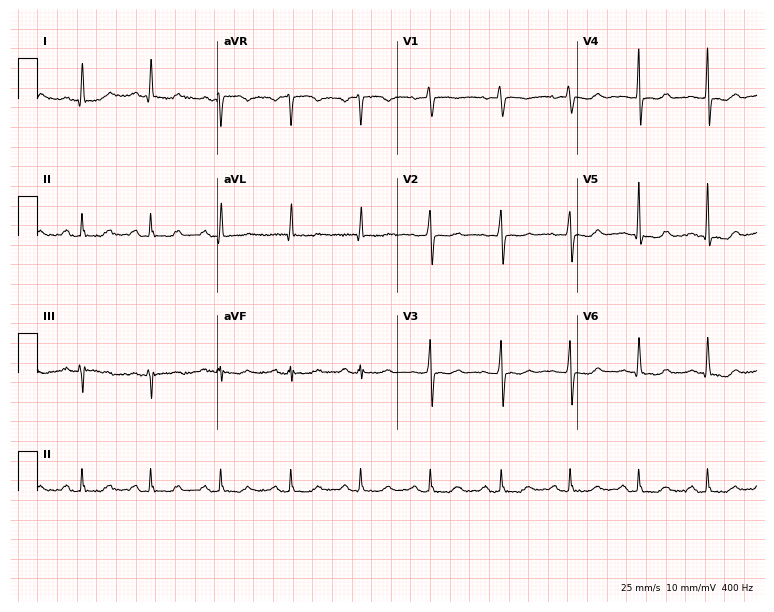
ECG — a female, 63 years old. Screened for six findings — first-degree AV block, right bundle branch block, left bundle branch block, sinus bradycardia, atrial fibrillation, sinus tachycardia — none is recorded. Only these six findings were labelled.